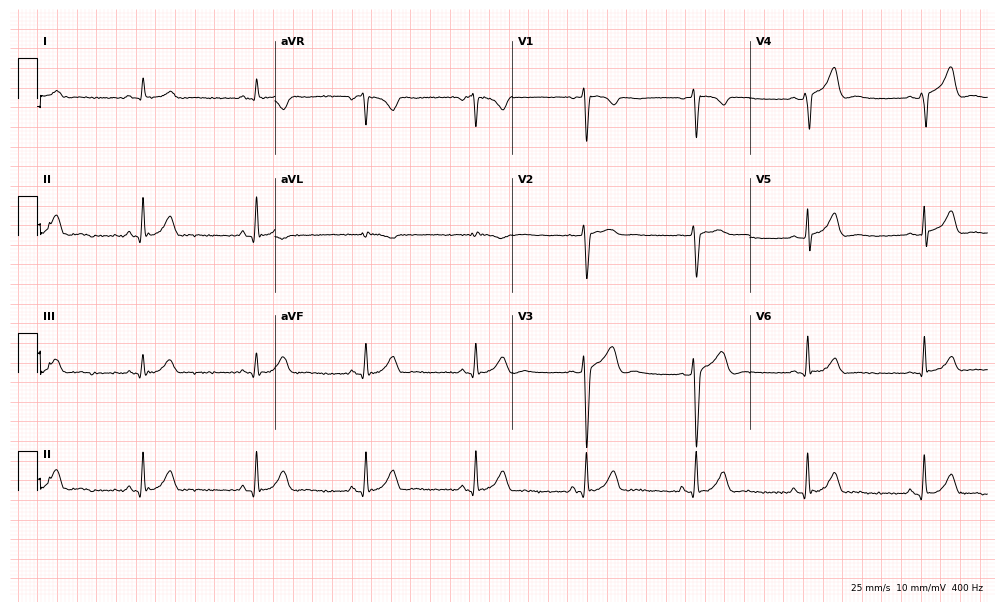
Electrocardiogram (9.7-second recording at 400 Hz), a 56-year-old male patient. Overall reading on record: normal ECG.